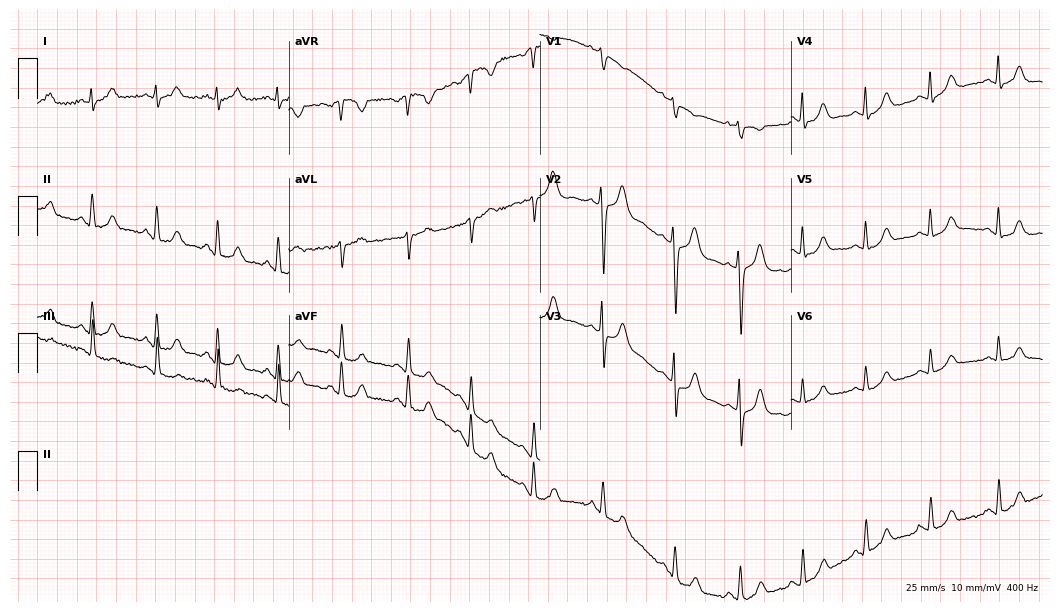
ECG (10.2-second recording at 400 Hz) — a 22-year-old woman. Labelled as a normal ECG.